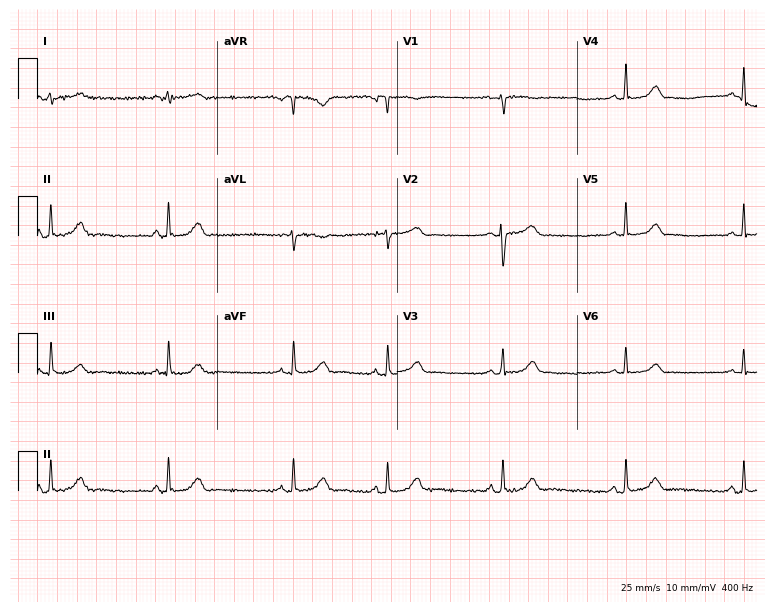
12-lead ECG from a 34-year-old female patient. Labelled as a normal ECG.